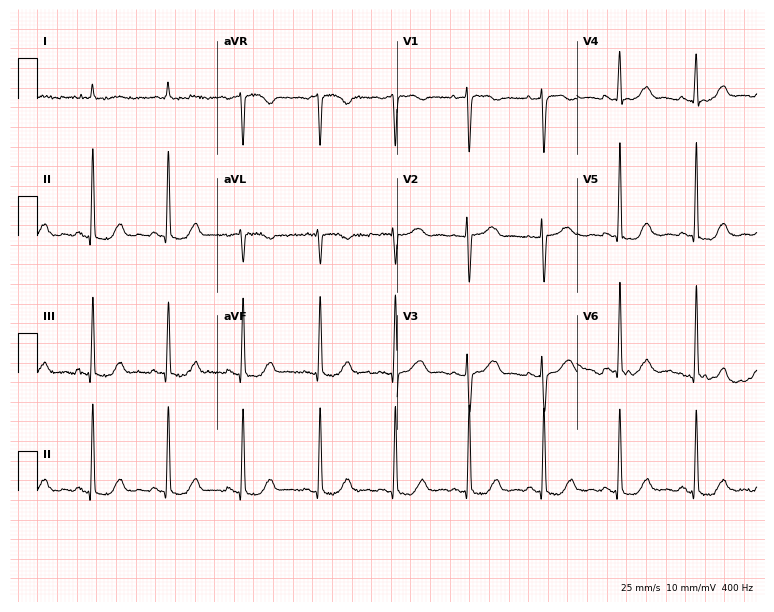
Resting 12-lead electrocardiogram (7.3-second recording at 400 Hz). Patient: a female, 71 years old. Read as a normal ECG.